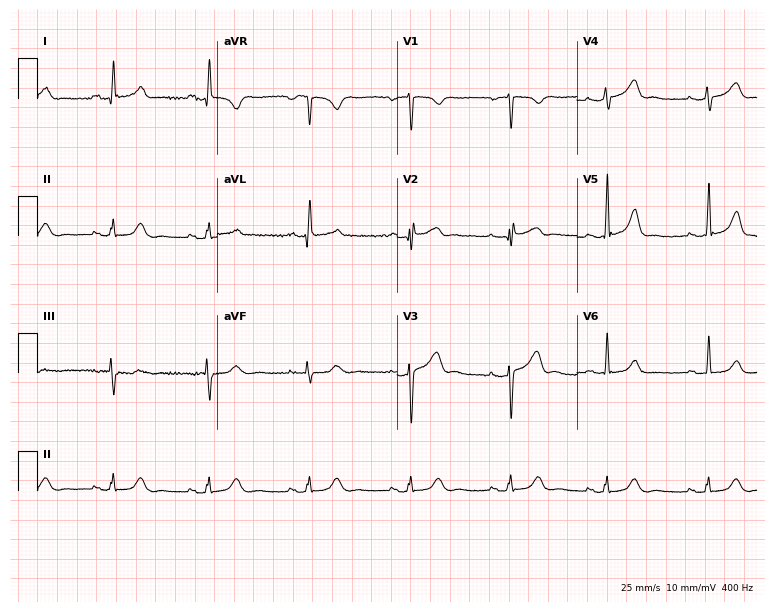
12-lead ECG (7.3-second recording at 400 Hz) from a 37-year-old female. Screened for six findings — first-degree AV block, right bundle branch block, left bundle branch block, sinus bradycardia, atrial fibrillation, sinus tachycardia — none is recorded.